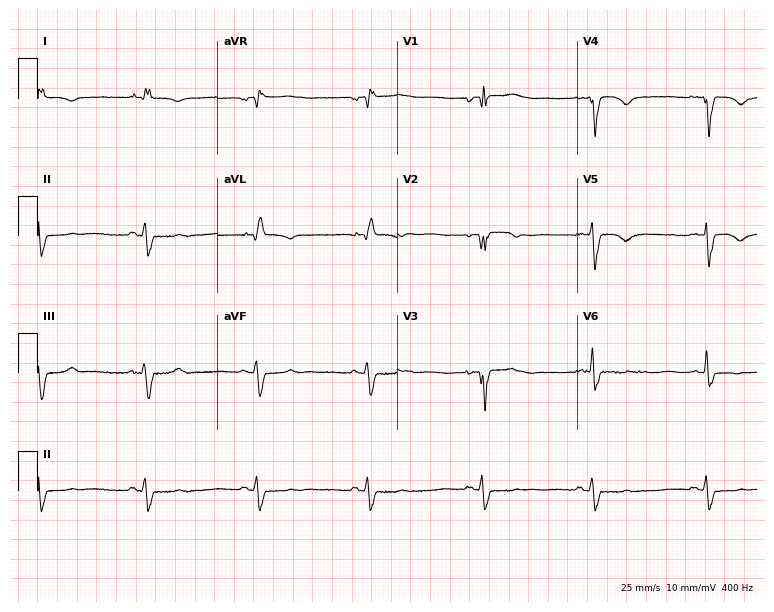
12-lead ECG from a 74-year-old male patient (7.3-second recording at 400 Hz). No first-degree AV block, right bundle branch block, left bundle branch block, sinus bradycardia, atrial fibrillation or sinus tachycardia recorded for this tracing.